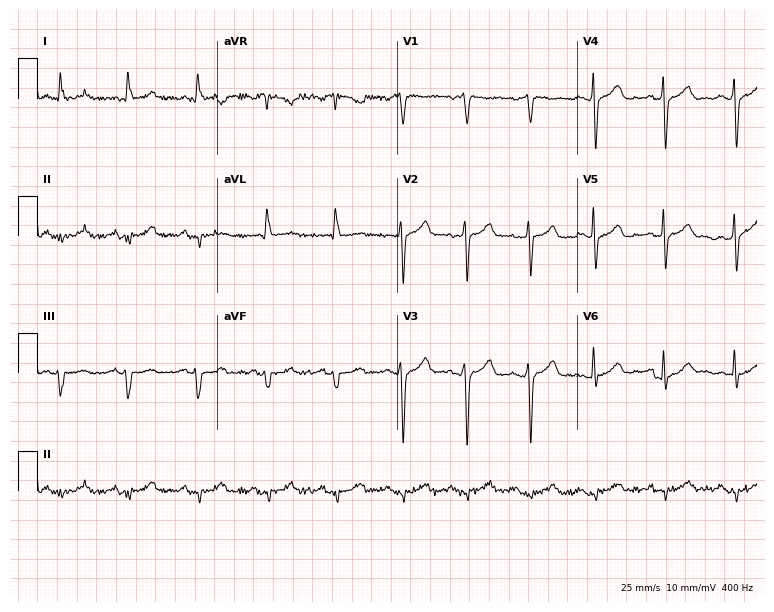
Resting 12-lead electrocardiogram (7.3-second recording at 400 Hz). Patient: a man, 68 years old. None of these six findings is recorded: first-degree AV block, right bundle branch block, left bundle branch block, sinus bradycardia, atrial fibrillation, sinus tachycardia. Only these six findings were labelled.